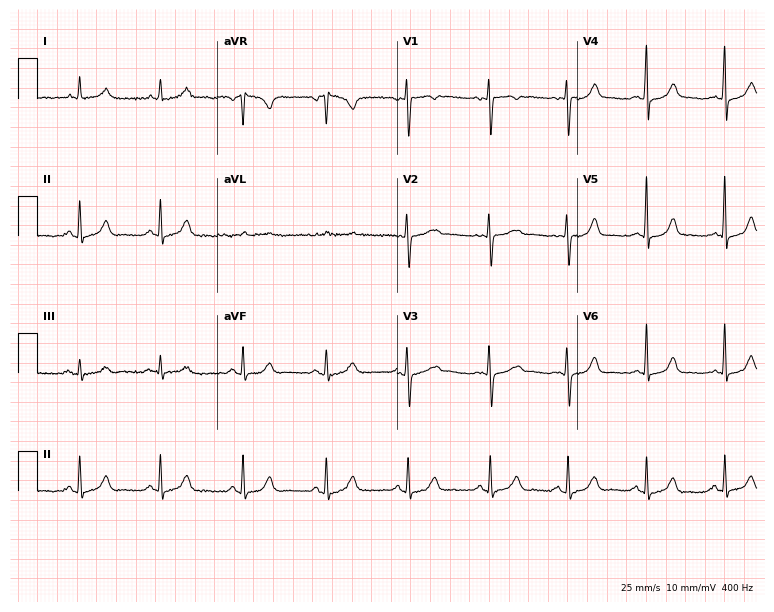
Electrocardiogram, a 40-year-old female. Overall reading on record: normal ECG.